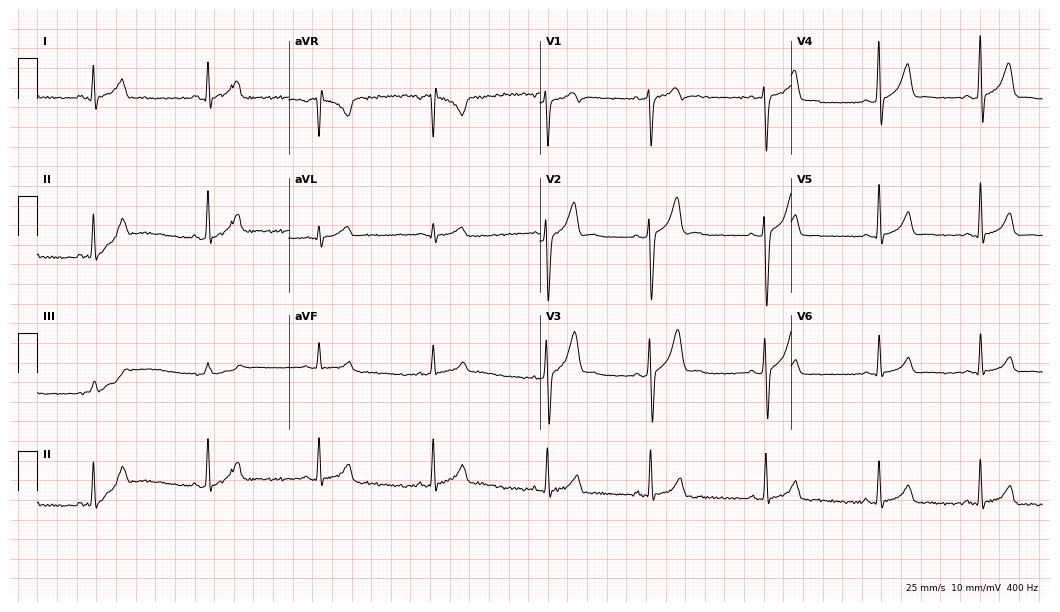
ECG (10.2-second recording at 400 Hz) — a 22-year-old male. Screened for six findings — first-degree AV block, right bundle branch block, left bundle branch block, sinus bradycardia, atrial fibrillation, sinus tachycardia — none is recorded.